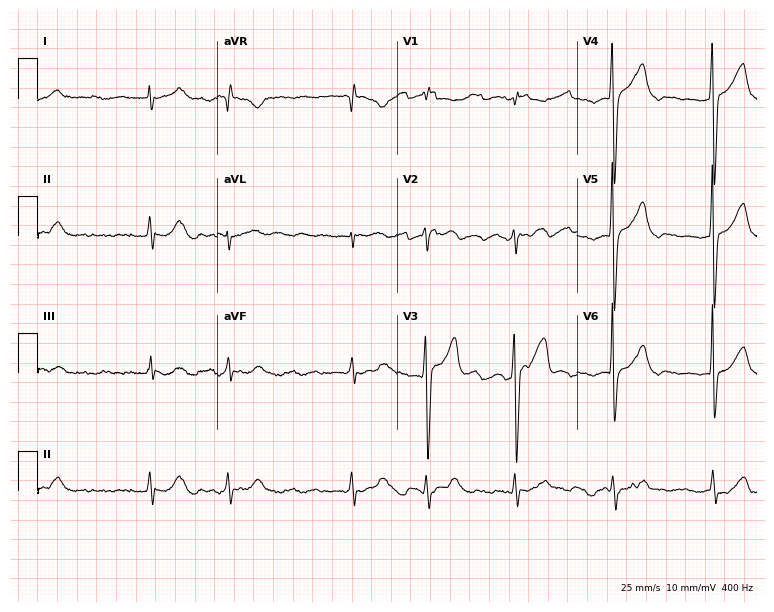
12-lead ECG from a 72-year-old man. Screened for six findings — first-degree AV block, right bundle branch block, left bundle branch block, sinus bradycardia, atrial fibrillation, sinus tachycardia — none is recorded.